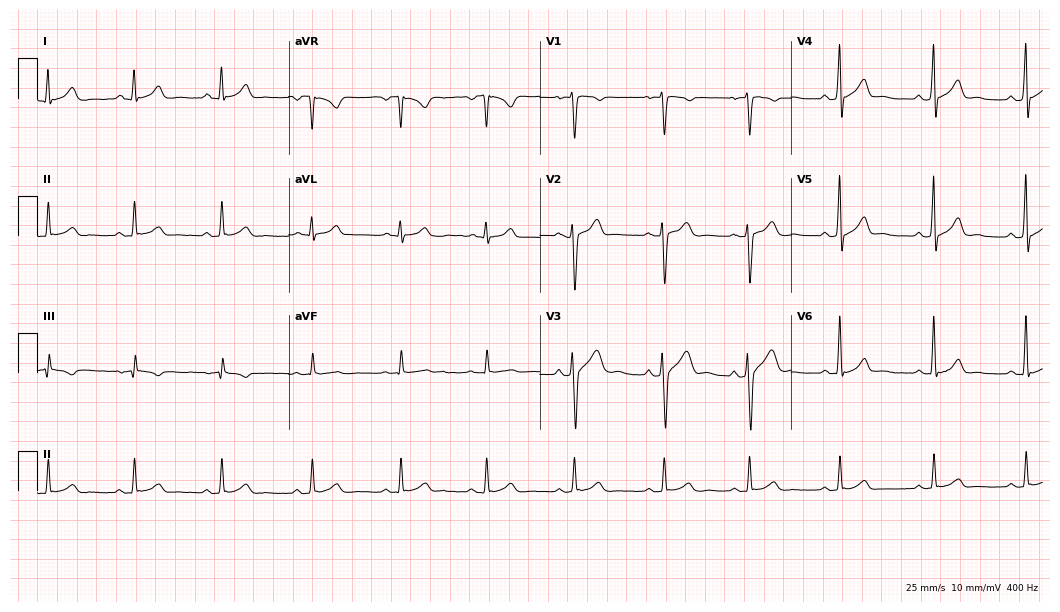
12-lead ECG from a 44-year-old male (10.2-second recording at 400 Hz). Recorded interpretation: within normal limits.